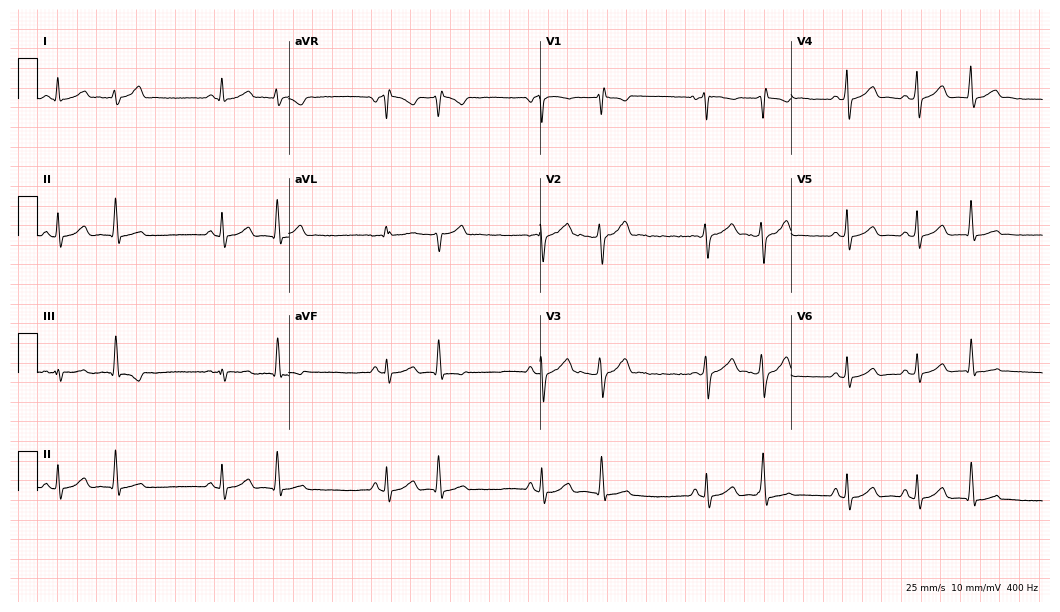
Electrocardiogram, a female patient, 19 years old. Of the six screened findings (first-degree AV block, right bundle branch block, left bundle branch block, sinus bradycardia, atrial fibrillation, sinus tachycardia), none is recorded.